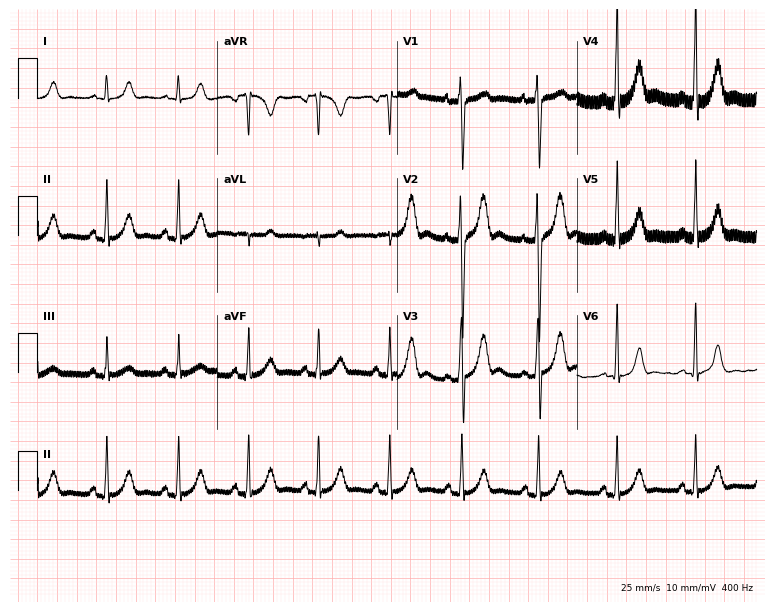
ECG — a male patient, 19 years old. Labelled as a normal ECG.